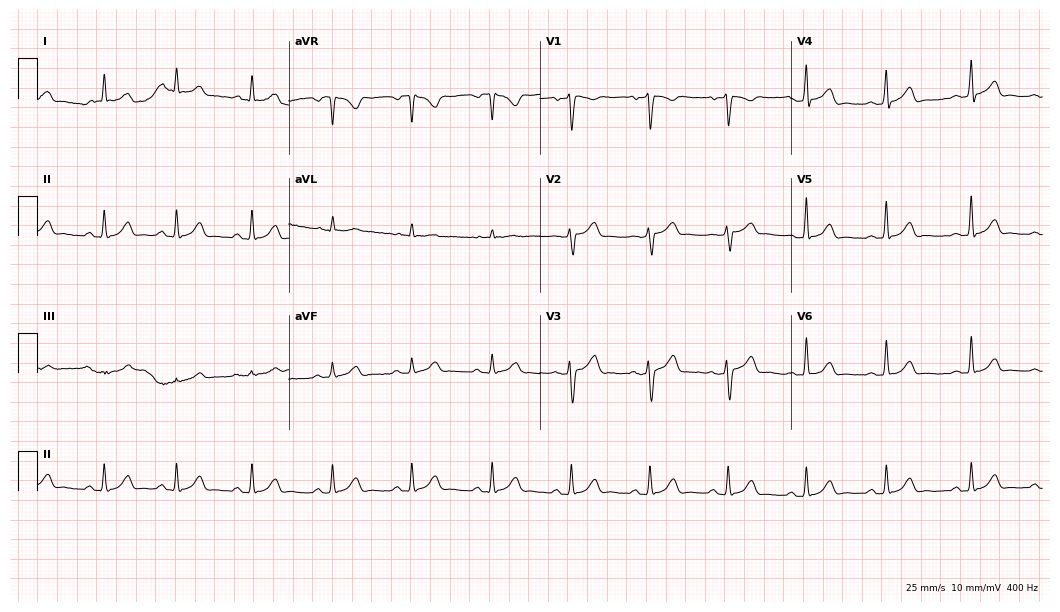
12-lead ECG from a male patient, 27 years old (10.2-second recording at 400 Hz). Recorded interpretation: within normal limits.